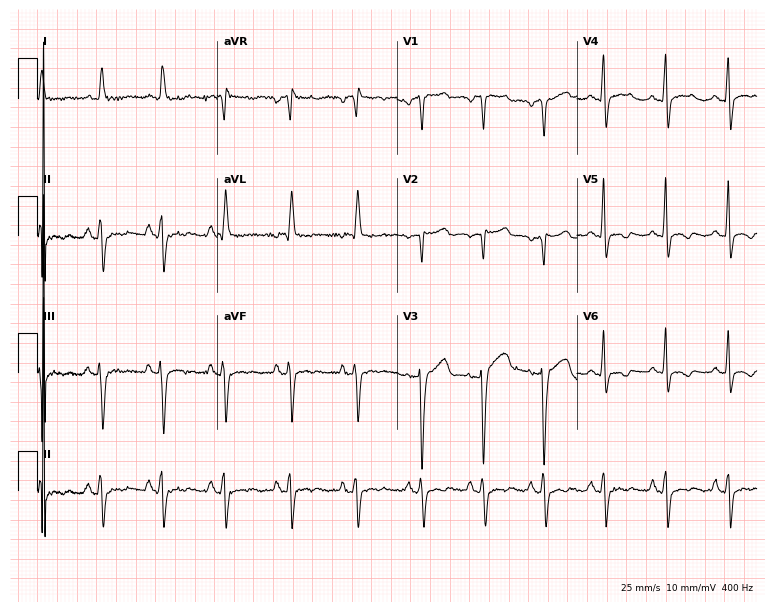
12-lead ECG (7.3-second recording at 400 Hz) from a 74-year-old woman. Screened for six findings — first-degree AV block, right bundle branch block, left bundle branch block, sinus bradycardia, atrial fibrillation, sinus tachycardia — none is recorded. Other findings, if any, are not listed.